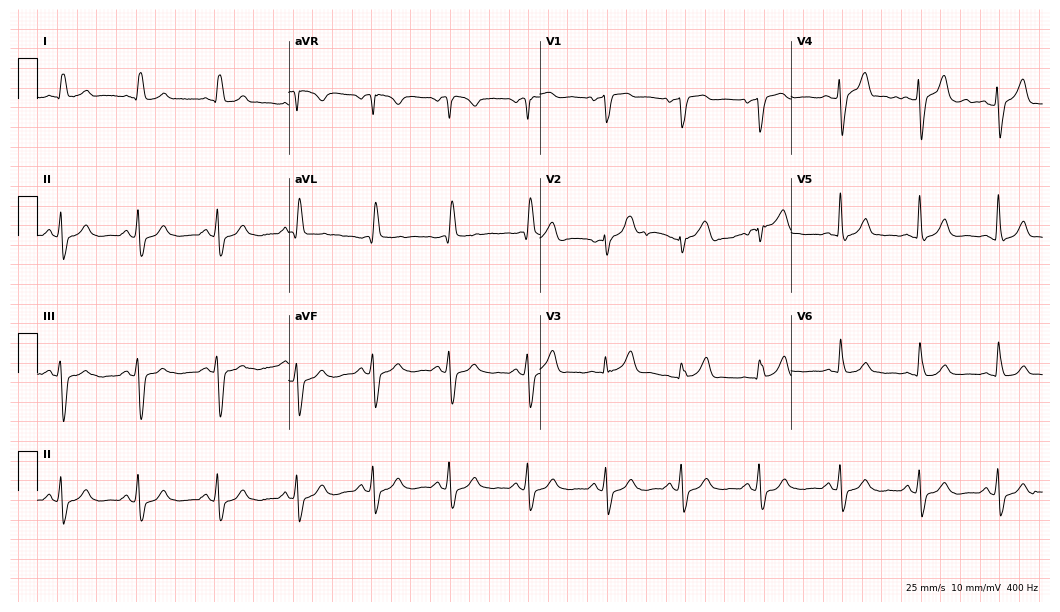
12-lead ECG from a male patient, 66 years old (10.2-second recording at 400 Hz). No first-degree AV block, right bundle branch block (RBBB), left bundle branch block (LBBB), sinus bradycardia, atrial fibrillation (AF) or sinus tachycardia recorded for this tracing. Findings outside these six are not listed.